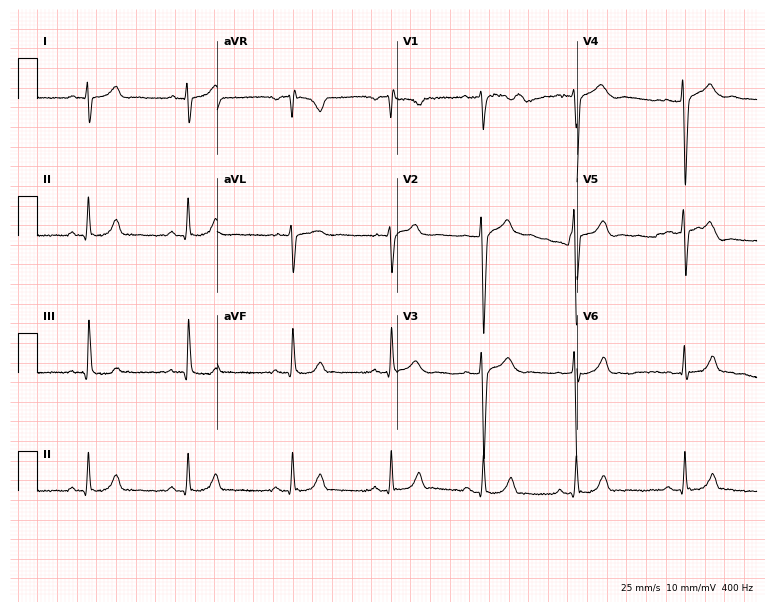
12-lead ECG from a male patient, 24 years old (7.3-second recording at 400 Hz). No first-degree AV block, right bundle branch block (RBBB), left bundle branch block (LBBB), sinus bradycardia, atrial fibrillation (AF) or sinus tachycardia recorded for this tracing. Other findings, if any, are not listed.